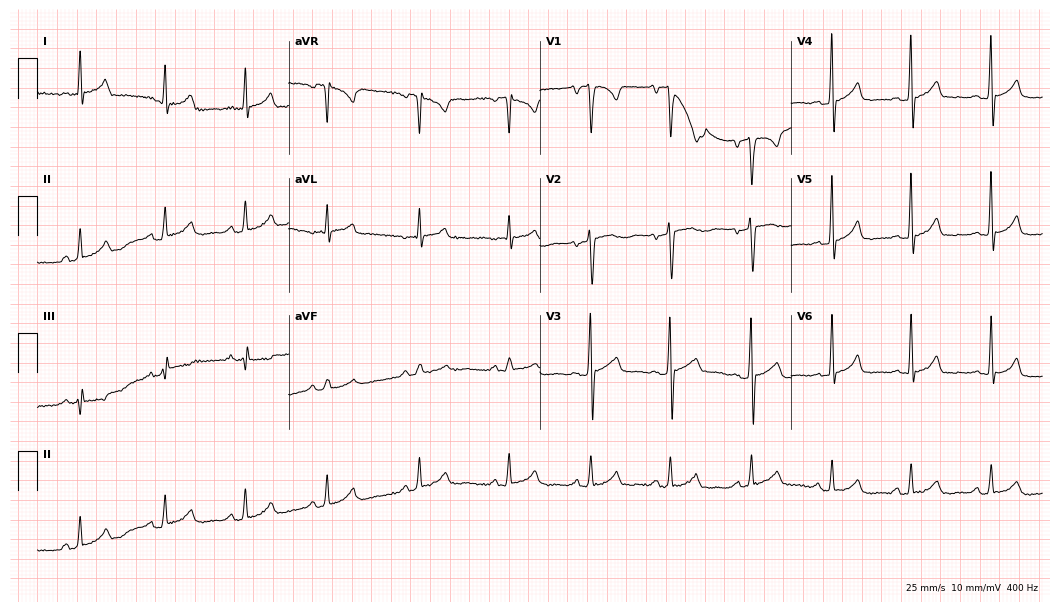
Electrocardiogram, a 33-year-old male. Overall reading on record: normal ECG.